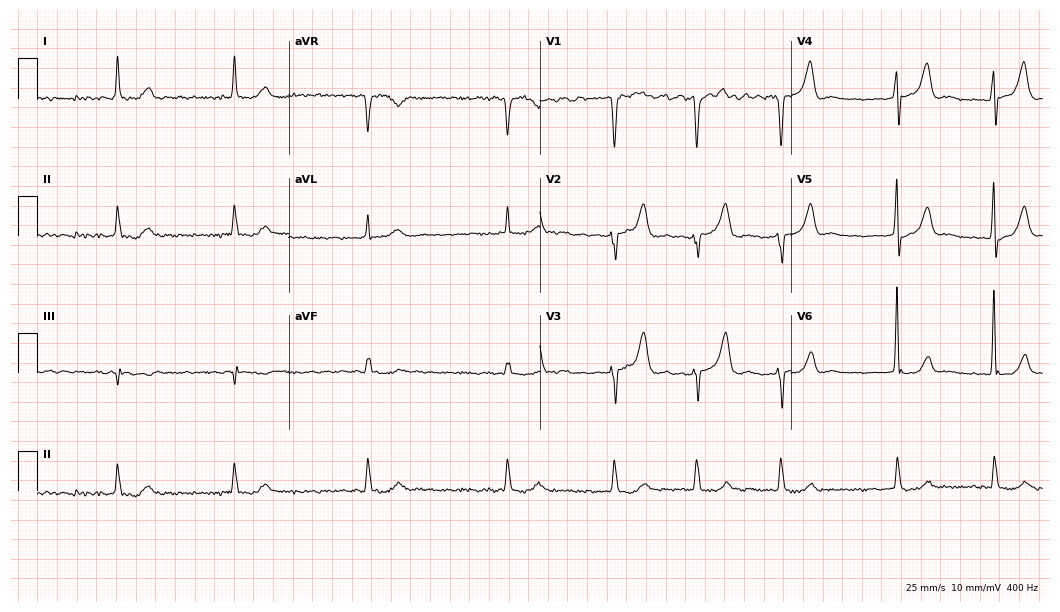
Standard 12-lead ECG recorded from a male, 72 years old. The tracing shows atrial fibrillation (AF).